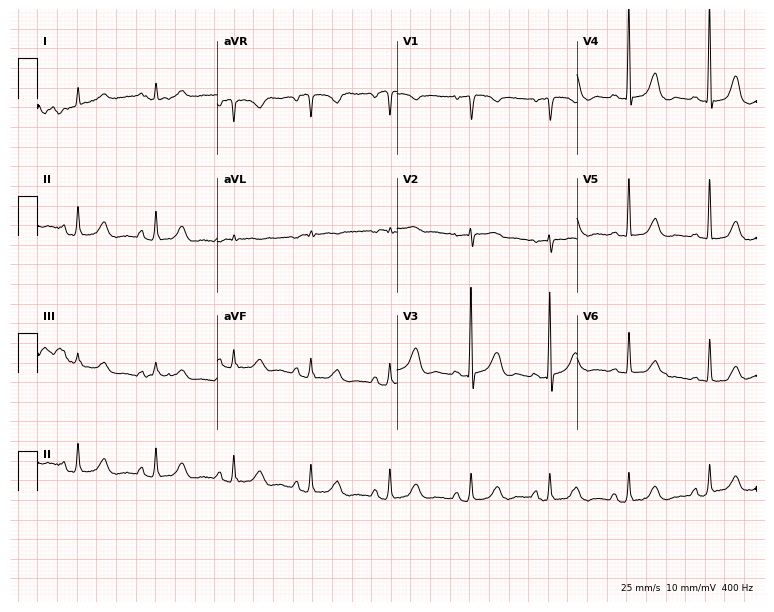
12-lead ECG (7.3-second recording at 400 Hz) from a female patient, 69 years old. Screened for six findings — first-degree AV block, right bundle branch block, left bundle branch block, sinus bradycardia, atrial fibrillation, sinus tachycardia — none is recorded. Only these six findings were labelled.